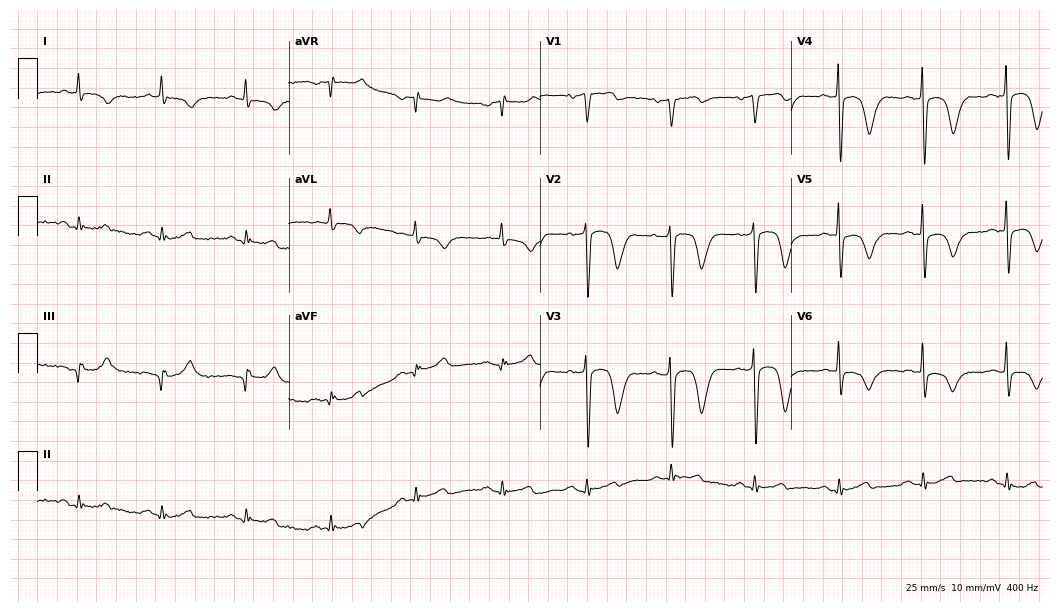
Electrocardiogram (10.2-second recording at 400 Hz), a man, 74 years old. Of the six screened findings (first-degree AV block, right bundle branch block, left bundle branch block, sinus bradycardia, atrial fibrillation, sinus tachycardia), none is recorded. Only these six findings were labelled.